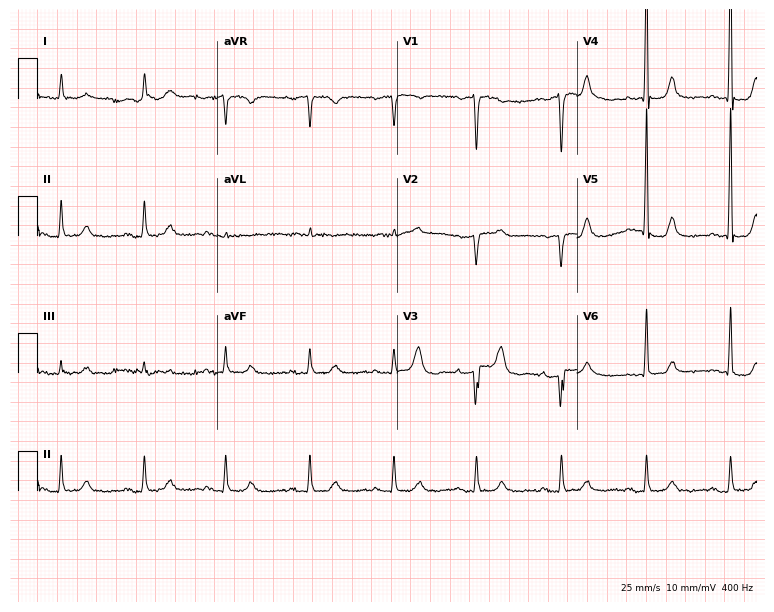
ECG — an 84-year-old female. Screened for six findings — first-degree AV block, right bundle branch block (RBBB), left bundle branch block (LBBB), sinus bradycardia, atrial fibrillation (AF), sinus tachycardia — none is recorded. Other findings, if any, are not listed.